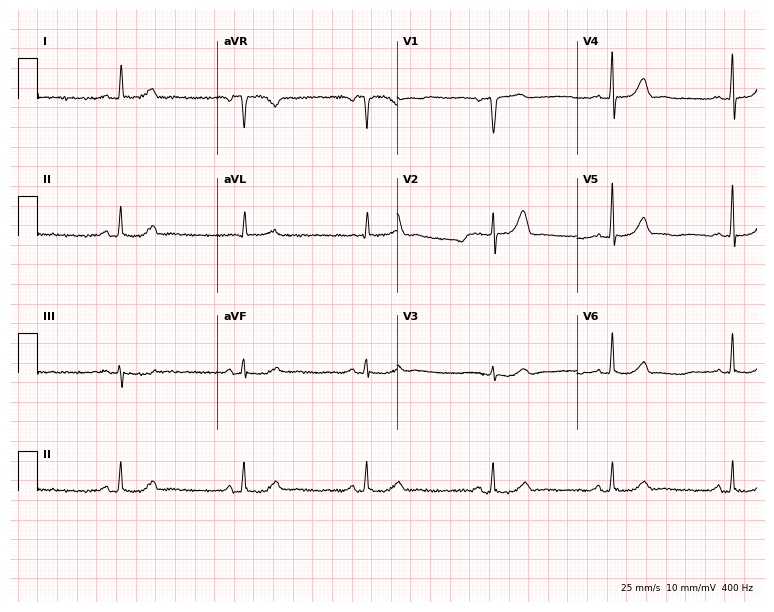
12-lead ECG from a female, 73 years old. Findings include sinus bradycardia (a sinus rate of 50 beats per minute or less).